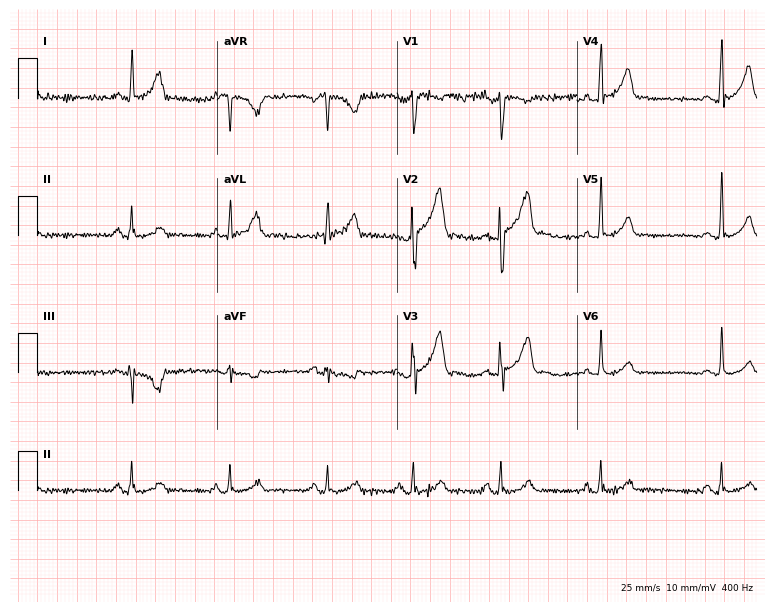
Standard 12-lead ECG recorded from a 26-year-old man (7.3-second recording at 400 Hz). None of these six findings is recorded: first-degree AV block, right bundle branch block (RBBB), left bundle branch block (LBBB), sinus bradycardia, atrial fibrillation (AF), sinus tachycardia. Findings outside these six are not listed.